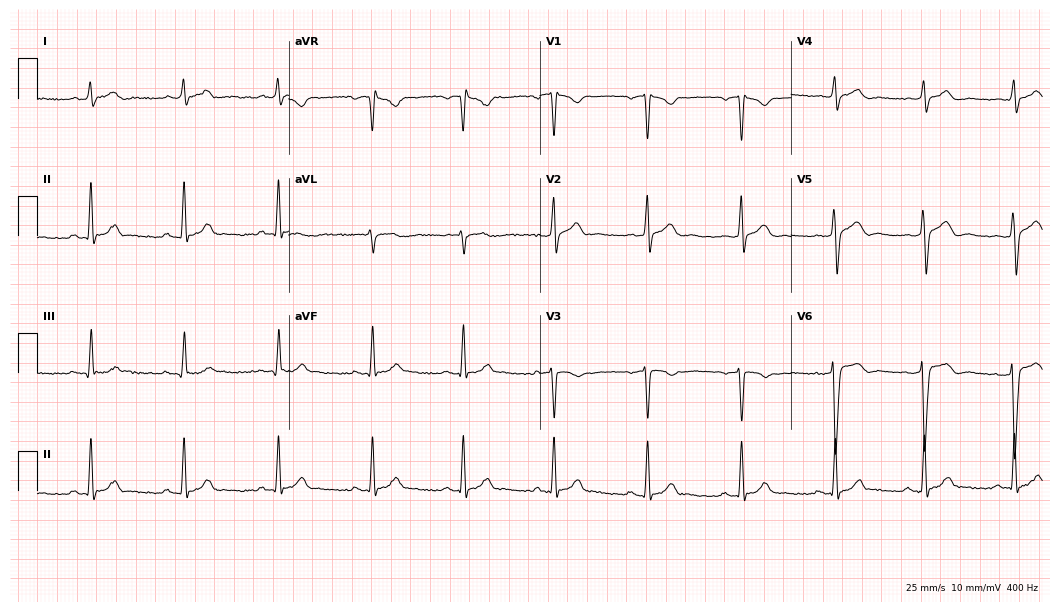
Resting 12-lead electrocardiogram. Patient: a man, 26 years old. None of these six findings is recorded: first-degree AV block, right bundle branch block, left bundle branch block, sinus bradycardia, atrial fibrillation, sinus tachycardia. Only these six findings were labelled.